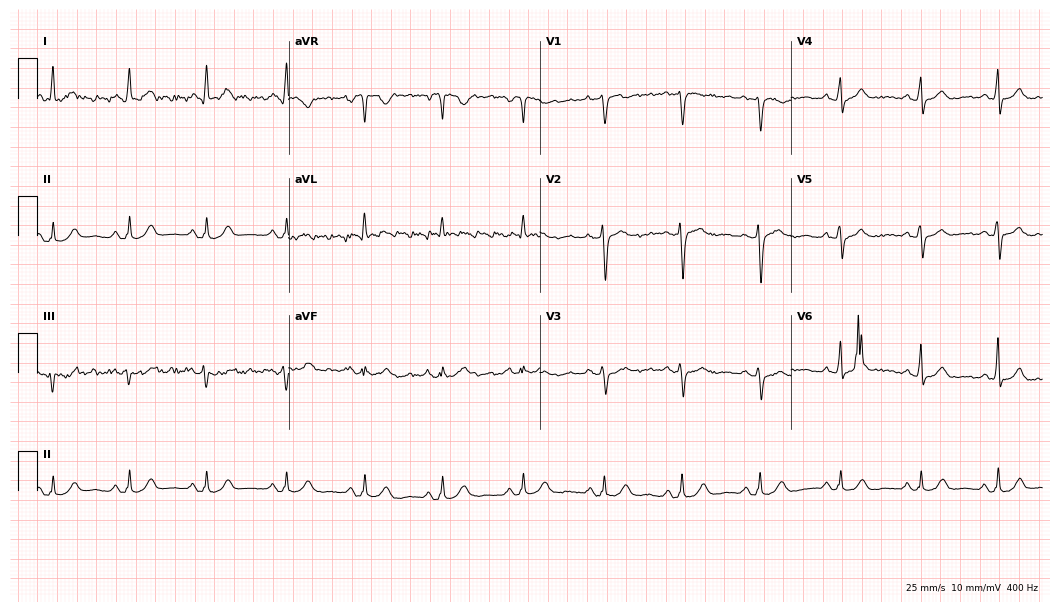
Resting 12-lead electrocardiogram. Patient: a woman, 70 years old. Read as a normal ECG.